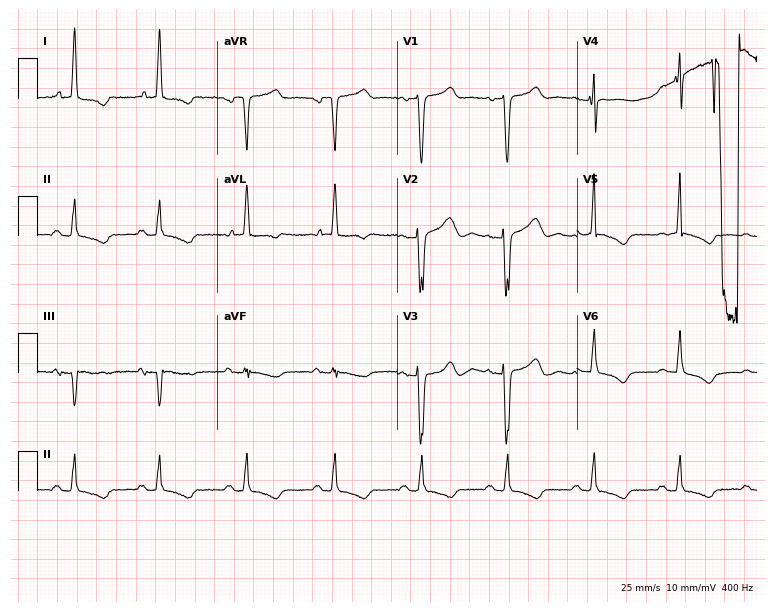
Standard 12-lead ECG recorded from a 47-year-old female patient. None of these six findings is recorded: first-degree AV block, right bundle branch block (RBBB), left bundle branch block (LBBB), sinus bradycardia, atrial fibrillation (AF), sinus tachycardia. Only these six findings were labelled.